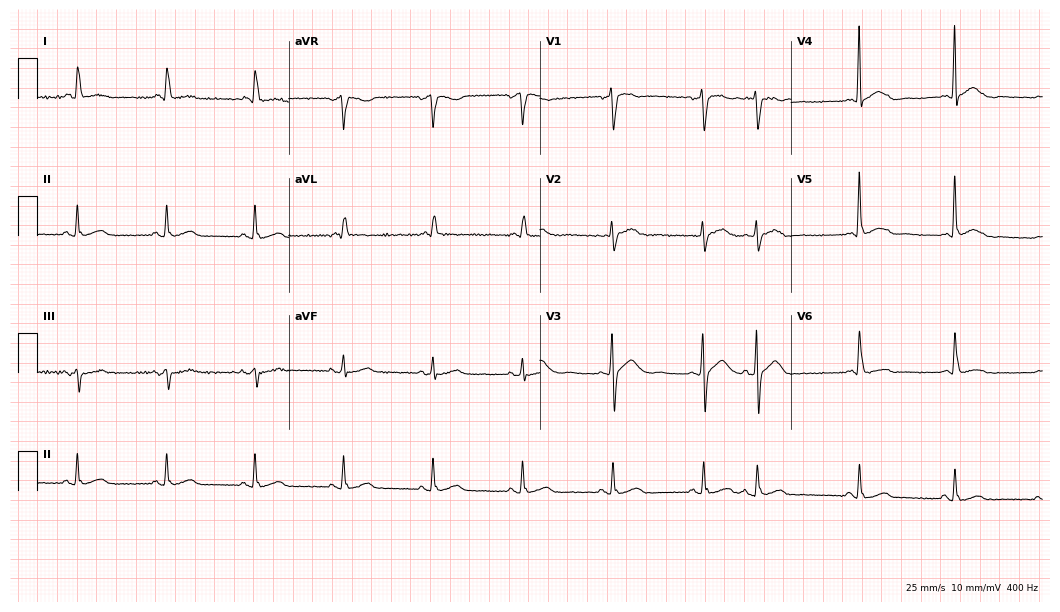
Resting 12-lead electrocardiogram (10.2-second recording at 400 Hz). Patient: a 78-year-old female. Read as a normal ECG.